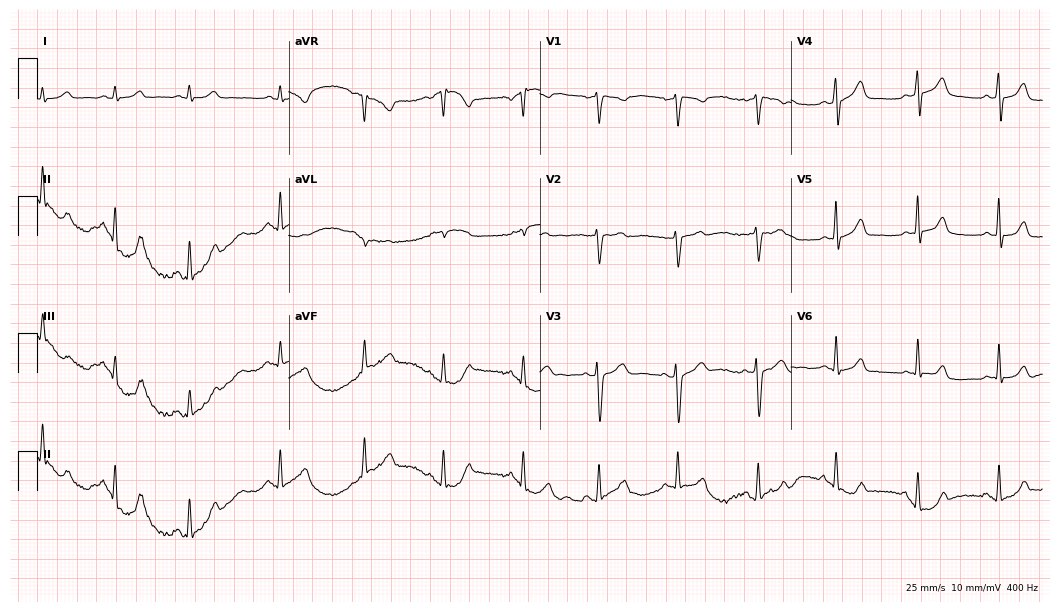
ECG (10.2-second recording at 400 Hz) — a 37-year-old female patient. Labelled as a normal ECG.